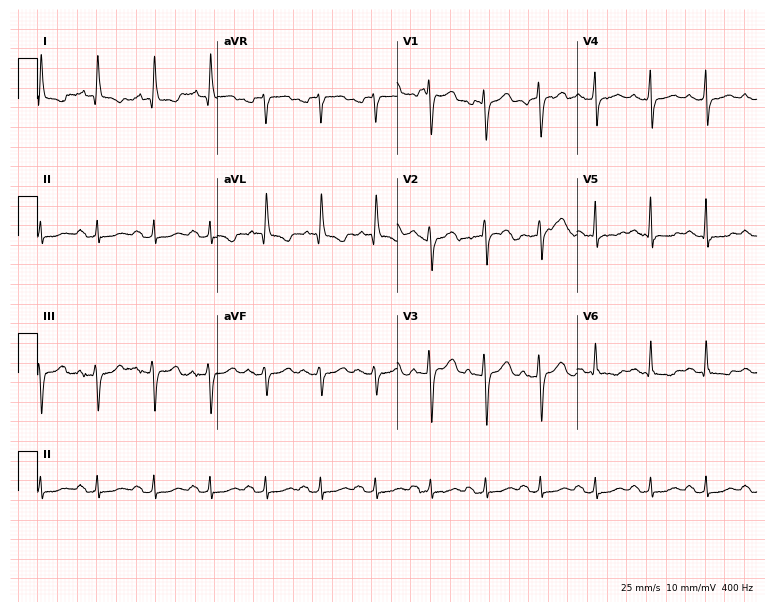
12-lead ECG from a woman, 71 years old (7.3-second recording at 400 Hz). No first-degree AV block, right bundle branch block, left bundle branch block, sinus bradycardia, atrial fibrillation or sinus tachycardia recorded for this tracing. Findings outside these six are not listed.